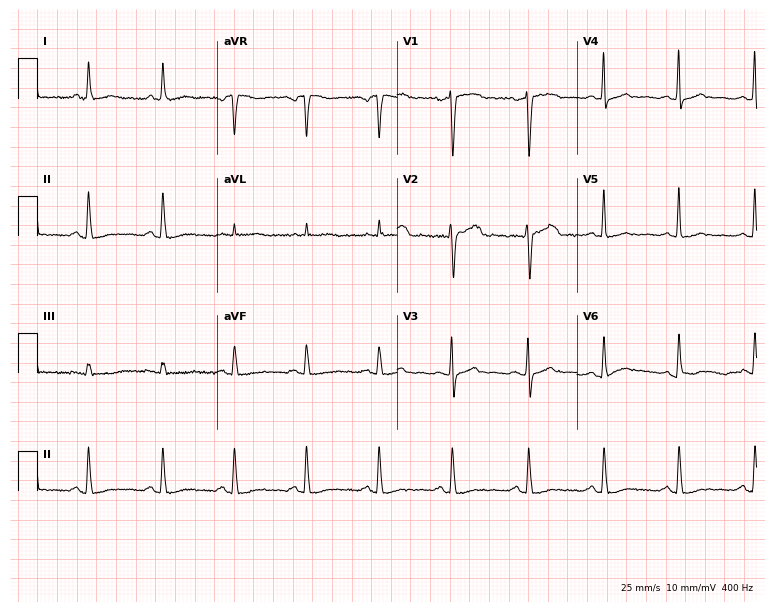
12-lead ECG from a female, 61 years old (7.3-second recording at 400 Hz). Recorded interpretation: within normal limits.